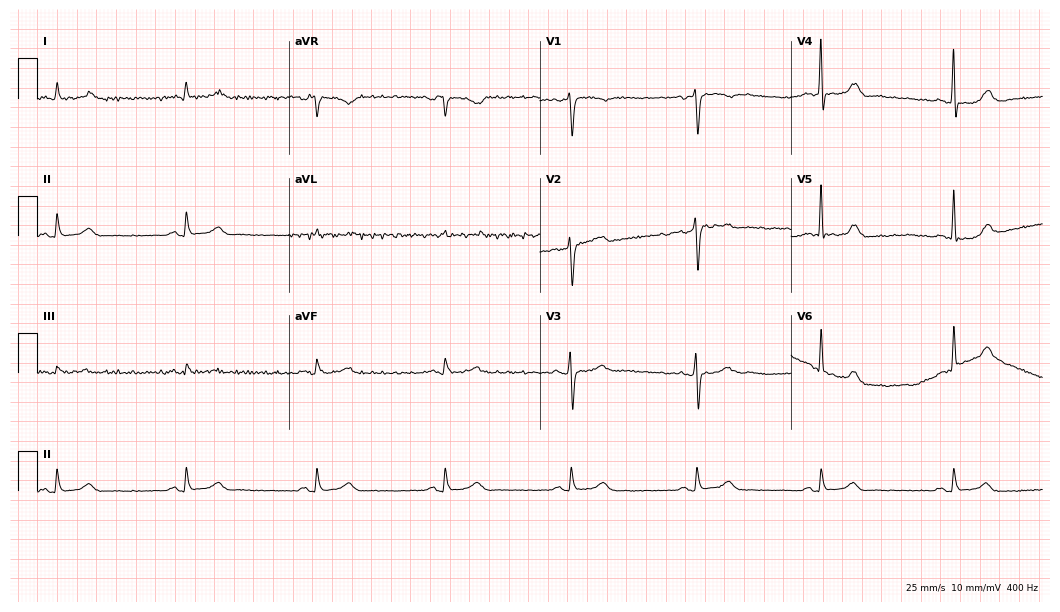
Electrocardiogram, a male, 63 years old. Of the six screened findings (first-degree AV block, right bundle branch block, left bundle branch block, sinus bradycardia, atrial fibrillation, sinus tachycardia), none is recorded. Only these six findings were labelled.